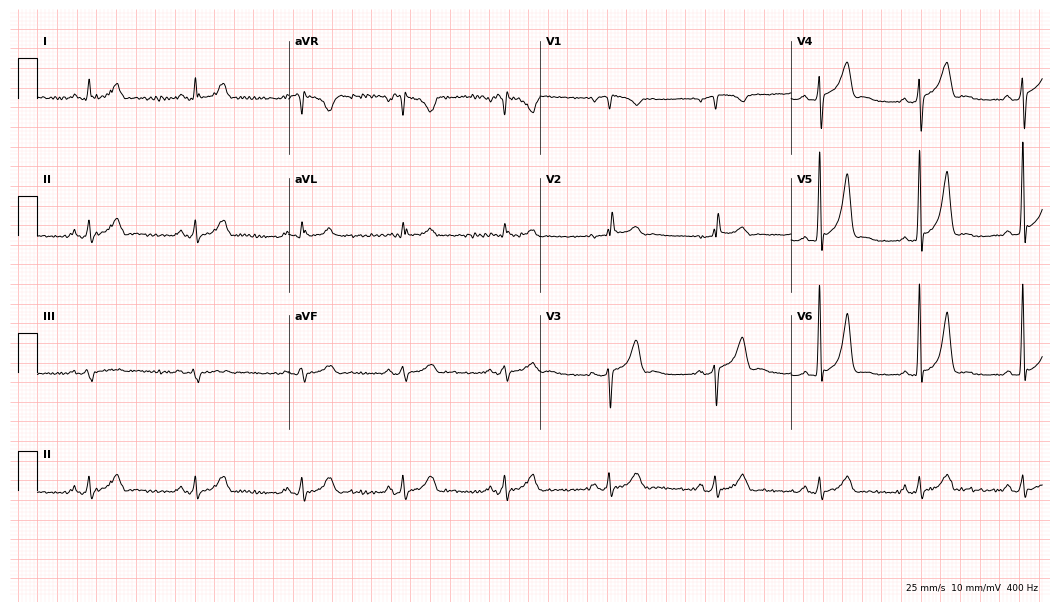
12-lead ECG (10.2-second recording at 400 Hz) from a male patient, 41 years old. Labelled as a normal ECG.